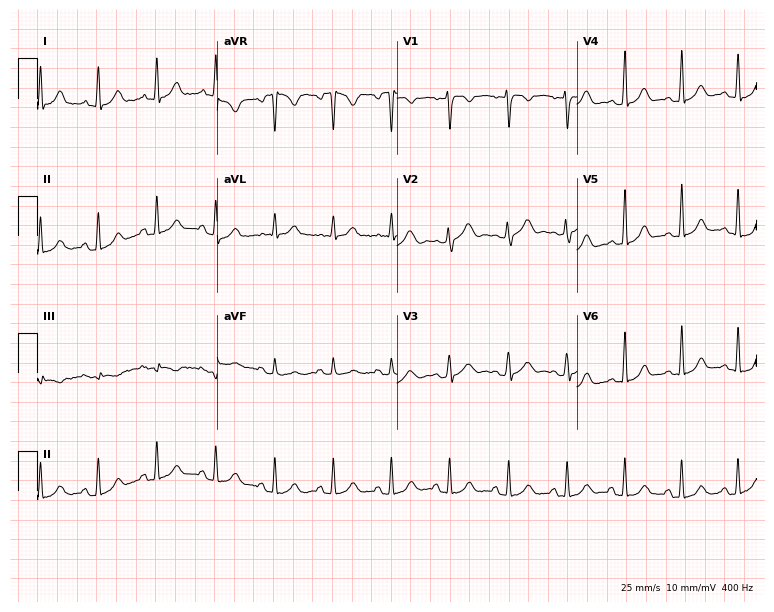
Standard 12-lead ECG recorded from a woman, 27 years old (7.3-second recording at 400 Hz). The tracing shows sinus tachycardia (a sinus rate of 100 beats per minute or more).